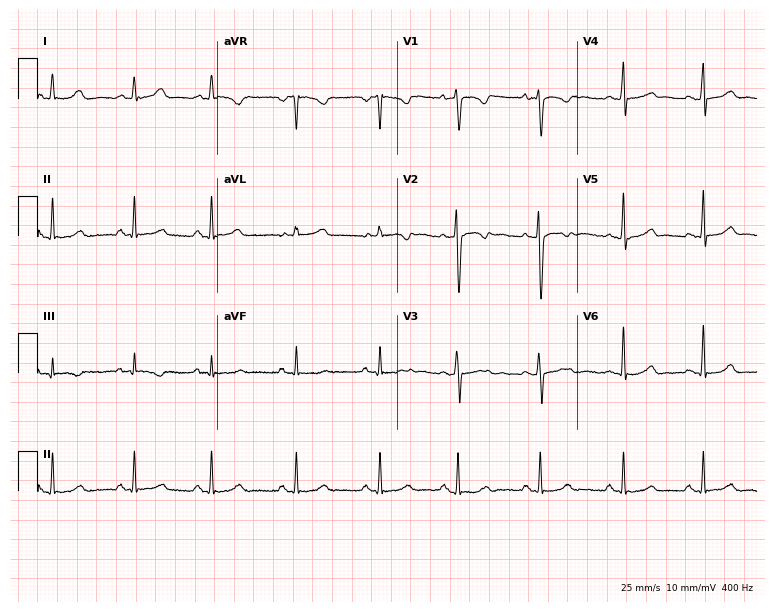
Electrocardiogram, a 25-year-old woman. Overall reading on record: normal ECG.